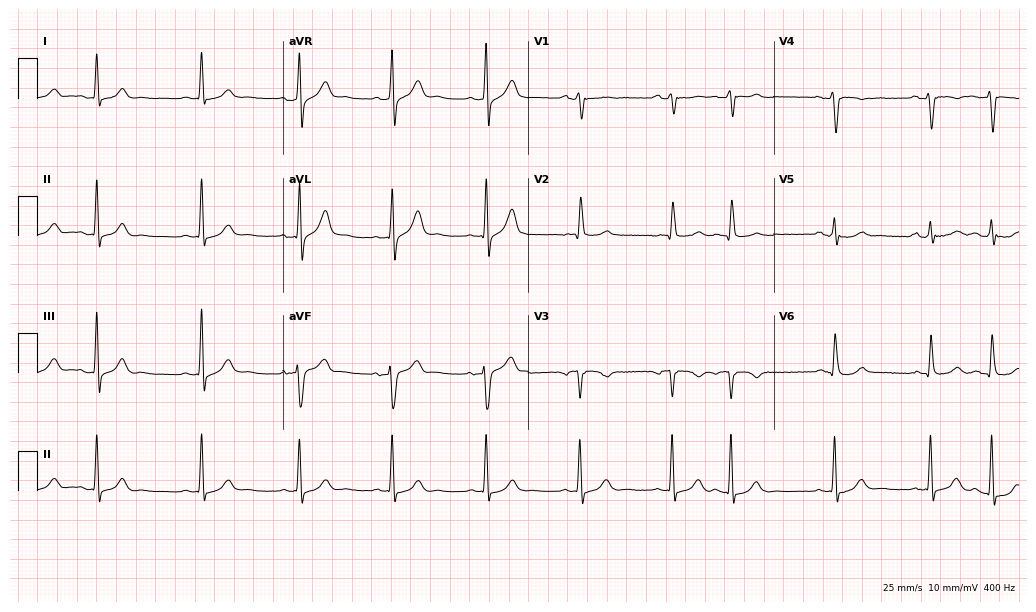
Standard 12-lead ECG recorded from a male, 72 years old (10-second recording at 400 Hz). None of these six findings is recorded: first-degree AV block, right bundle branch block, left bundle branch block, sinus bradycardia, atrial fibrillation, sinus tachycardia. Other findings, if any, are not listed.